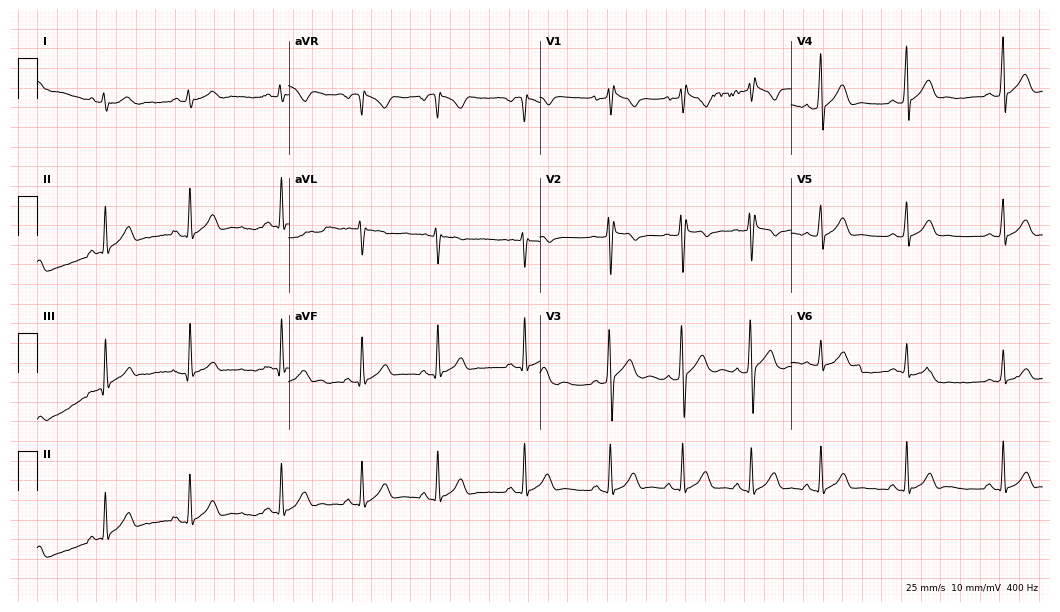
12-lead ECG from a male, 21 years old (10.2-second recording at 400 Hz). No first-degree AV block, right bundle branch block, left bundle branch block, sinus bradycardia, atrial fibrillation or sinus tachycardia recorded for this tracing.